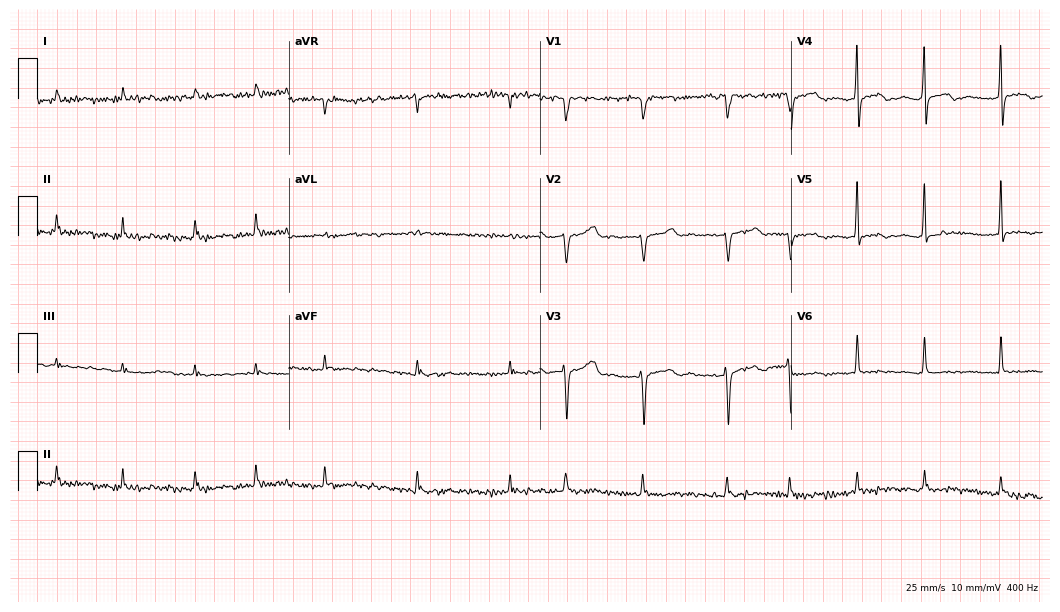
Standard 12-lead ECG recorded from a man, 76 years old. None of these six findings is recorded: first-degree AV block, right bundle branch block (RBBB), left bundle branch block (LBBB), sinus bradycardia, atrial fibrillation (AF), sinus tachycardia.